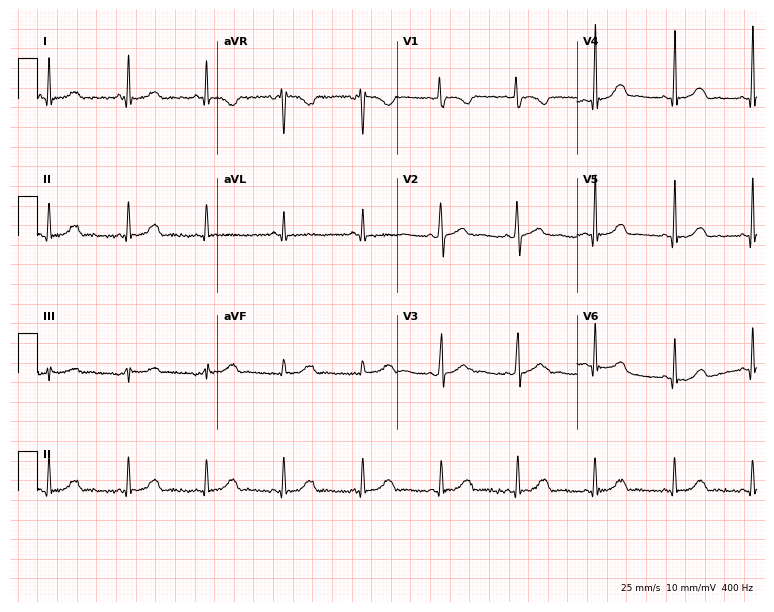
Resting 12-lead electrocardiogram (7.3-second recording at 400 Hz). Patient: a woman, 37 years old. None of these six findings is recorded: first-degree AV block, right bundle branch block, left bundle branch block, sinus bradycardia, atrial fibrillation, sinus tachycardia.